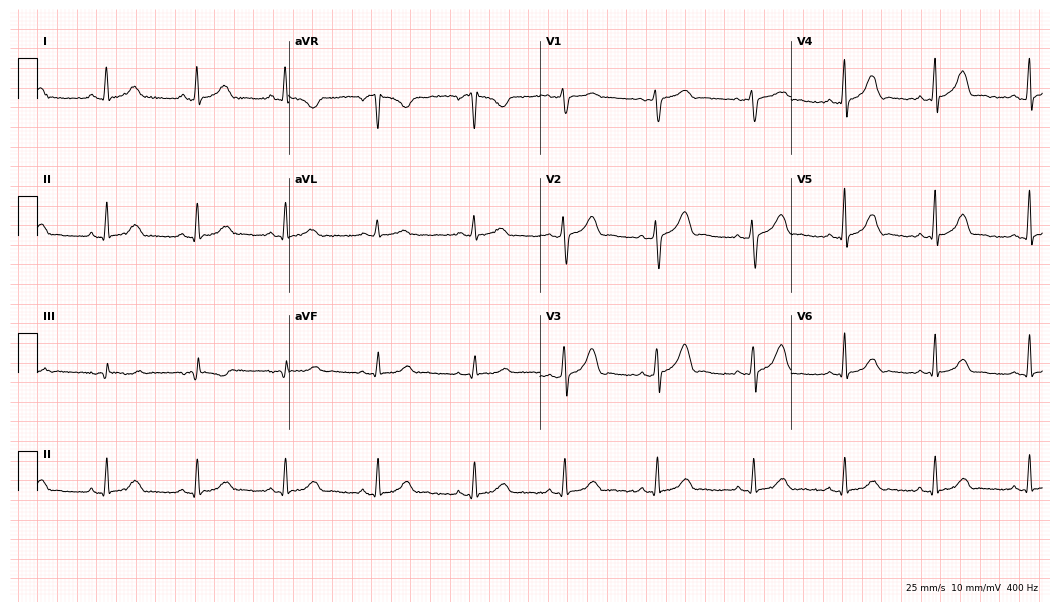
12-lead ECG from a 45-year-old woman (10.2-second recording at 400 Hz). Recorded interpretation: within normal limits.